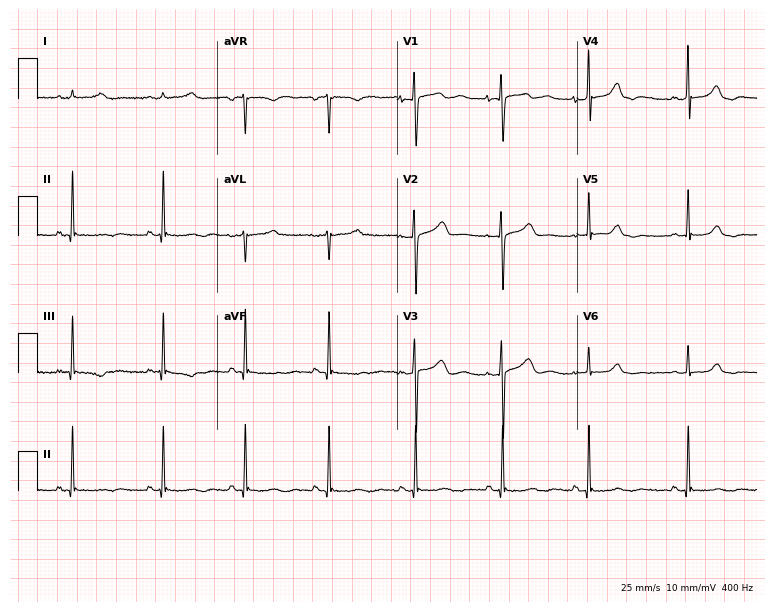
Standard 12-lead ECG recorded from a woman, 34 years old. Read as a normal ECG.